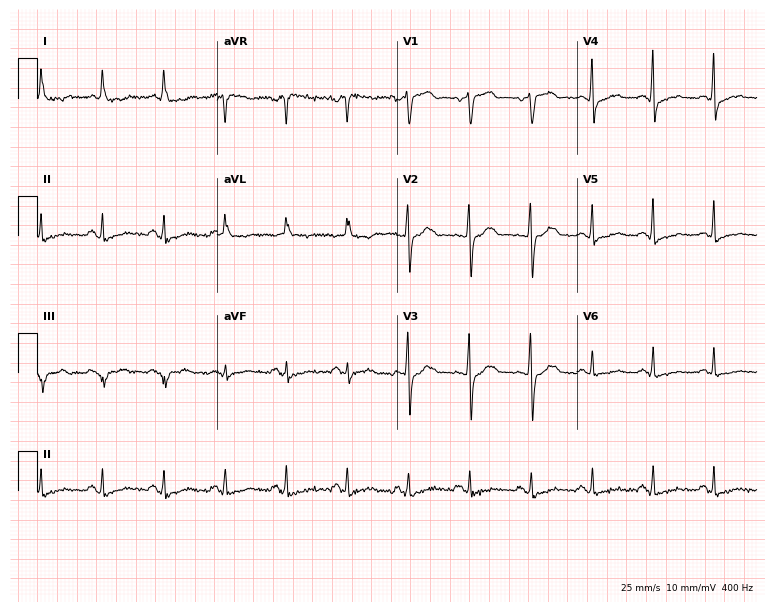
Standard 12-lead ECG recorded from a 79-year-old woman (7.3-second recording at 400 Hz). None of these six findings is recorded: first-degree AV block, right bundle branch block, left bundle branch block, sinus bradycardia, atrial fibrillation, sinus tachycardia.